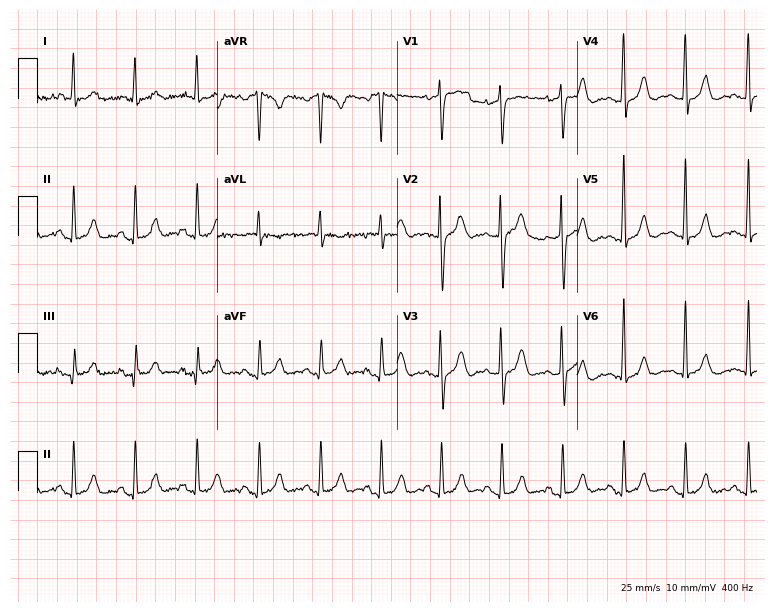
ECG — a 53-year-old female. Screened for six findings — first-degree AV block, right bundle branch block, left bundle branch block, sinus bradycardia, atrial fibrillation, sinus tachycardia — none is recorded.